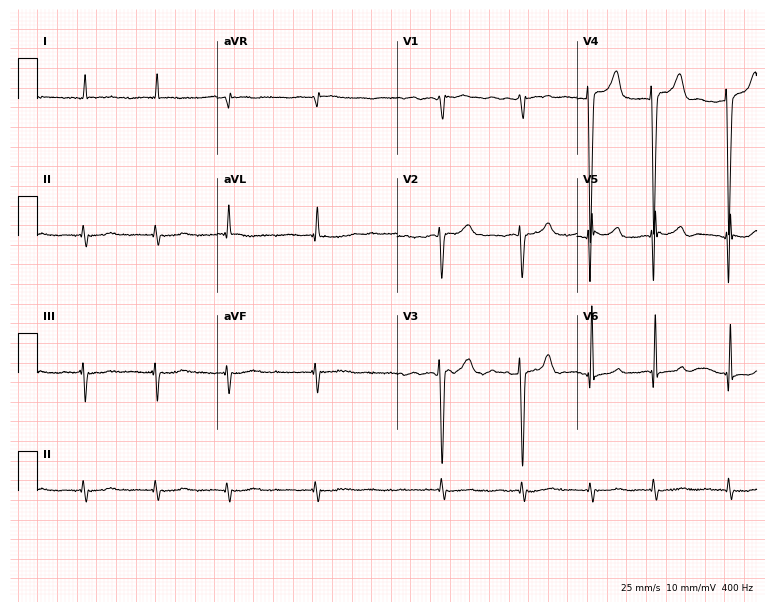
12-lead ECG from a 72-year-old male. Findings include atrial fibrillation (AF).